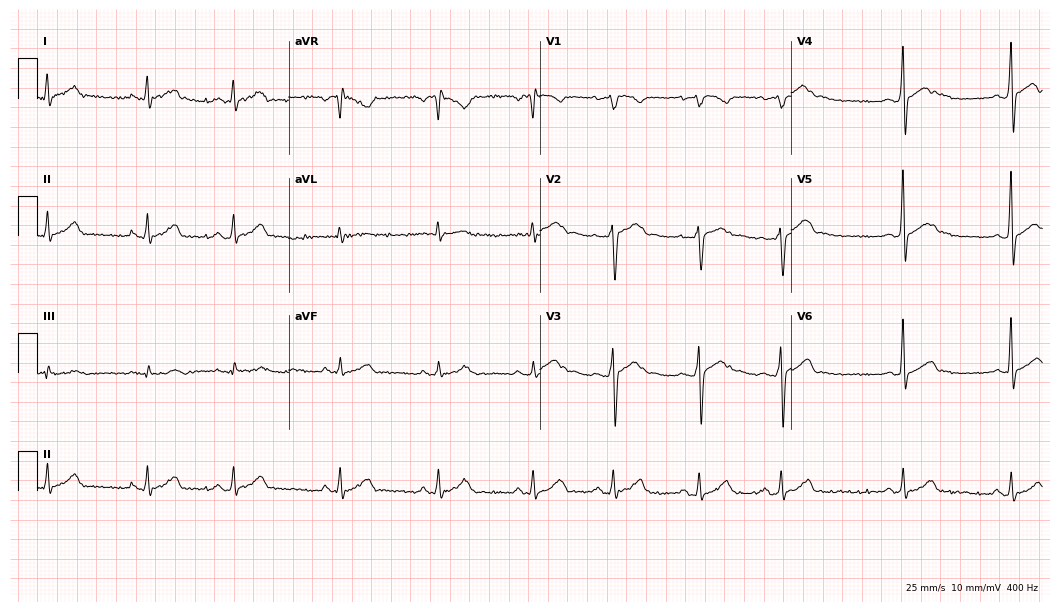
ECG (10.2-second recording at 400 Hz) — a male, 17 years old. Labelled as a normal ECG.